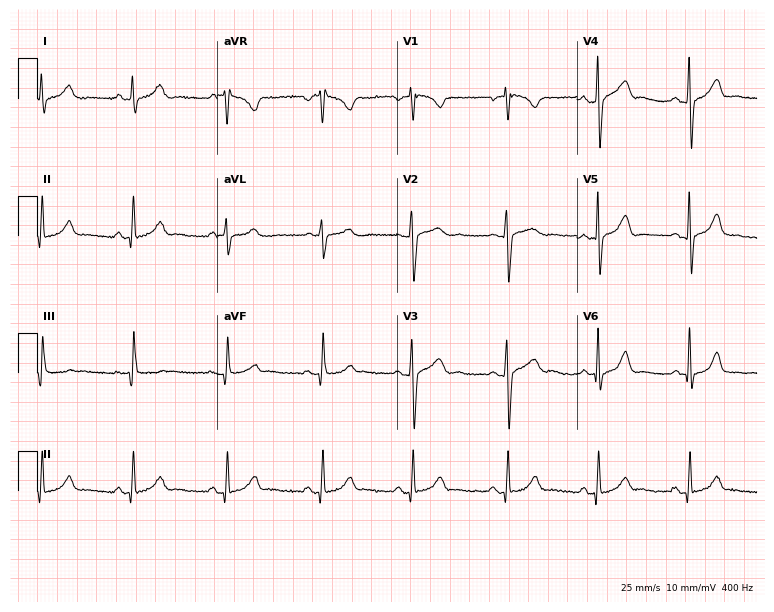
Resting 12-lead electrocardiogram (7.3-second recording at 400 Hz). Patient: a 35-year-old female. None of these six findings is recorded: first-degree AV block, right bundle branch block, left bundle branch block, sinus bradycardia, atrial fibrillation, sinus tachycardia.